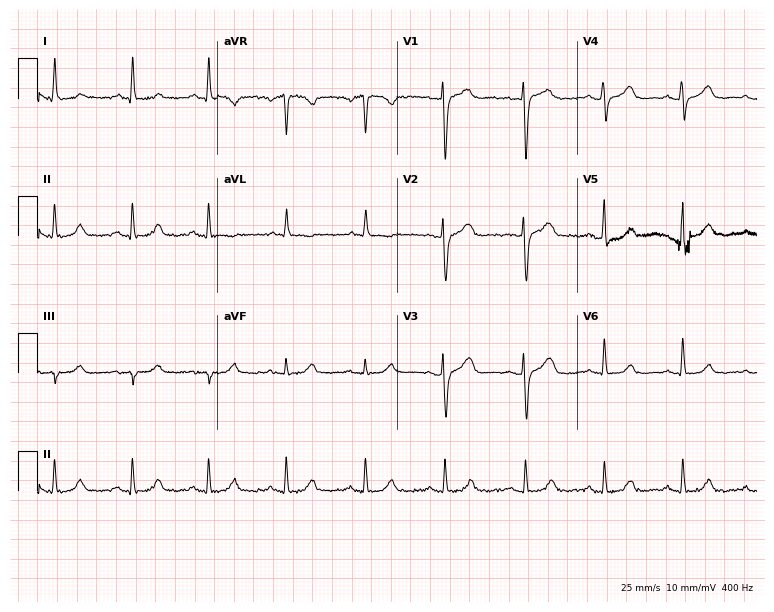
12-lead ECG from a 53-year-old female (7.3-second recording at 400 Hz). Recorded interpretation: within normal limits.